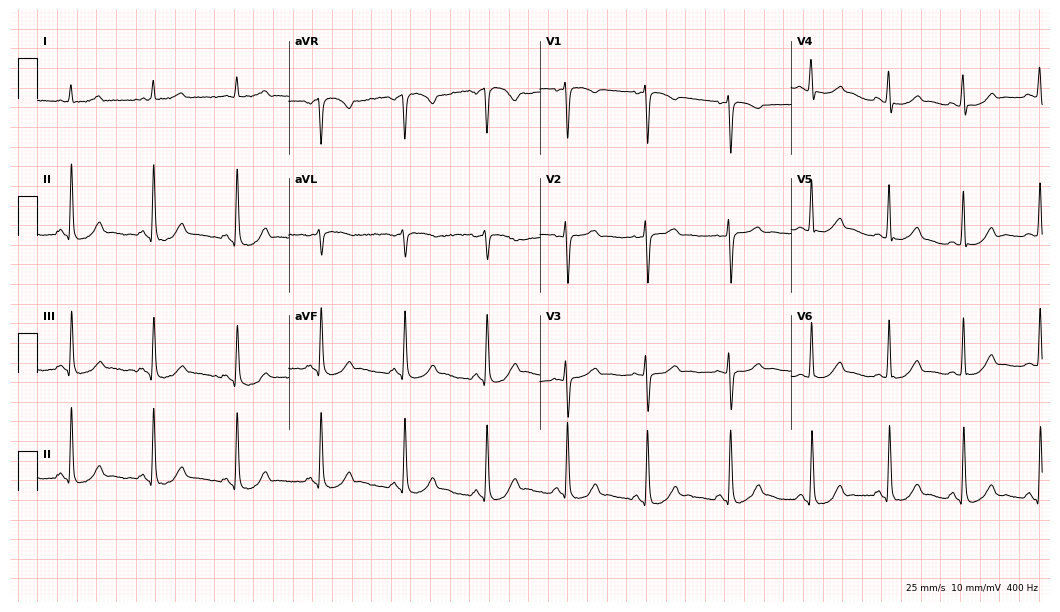
Electrocardiogram (10.2-second recording at 400 Hz), a 45-year-old female. Of the six screened findings (first-degree AV block, right bundle branch block, left bundle branch block, sinus bradycardia, atrial fibrillation, sinus tachycardia), none is recorded.